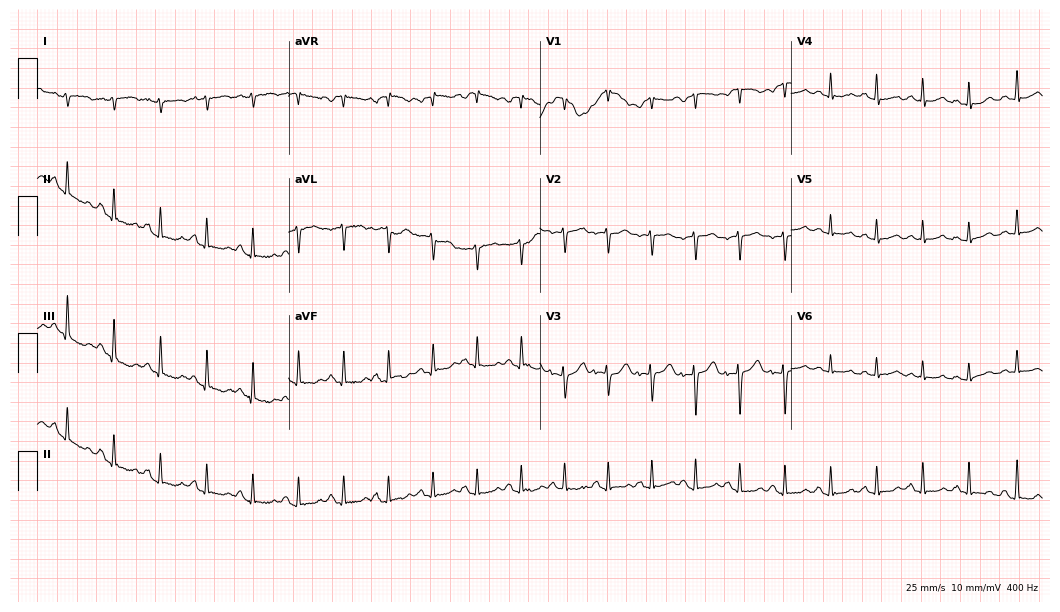
Standard 12-lead ECG recorded from a 17-year-old female patient (10.2-second recording at 400 Hz). The tracing shows sinus tachycardia (a sinus rate of 100 beats per minute or more).